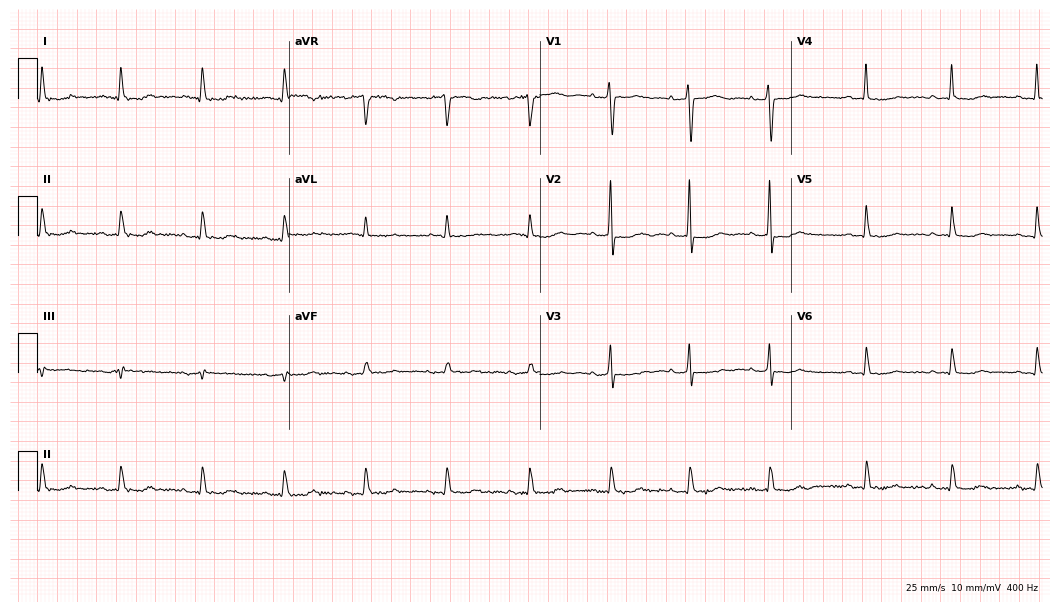
Electrocardiogram, a 75-year-old female. Of the six screened findings (first-degree AV block, right bundle branch block (RBBB), left bundle branch block (LBBB), sinus bradycardia, atrial fibrillation (AF), sinus tachycardia), none is recorded. Findings outside these six are not listed.